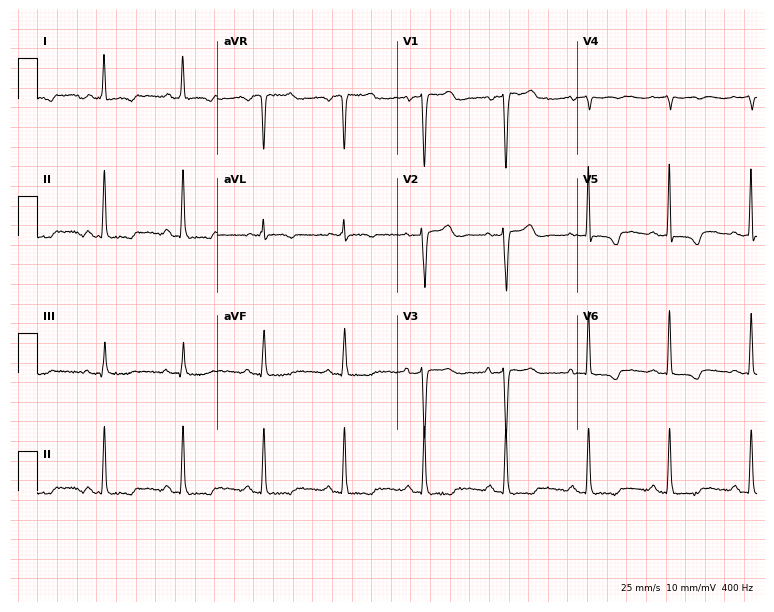
12-lead ECG from a female patient, 57 years old. Screened for six findings — first-degree AV block, right bundle branch block, left bundle branch block, sinus bradycardia, atrial fibrillation, sinus tachycardia — none is recorded.